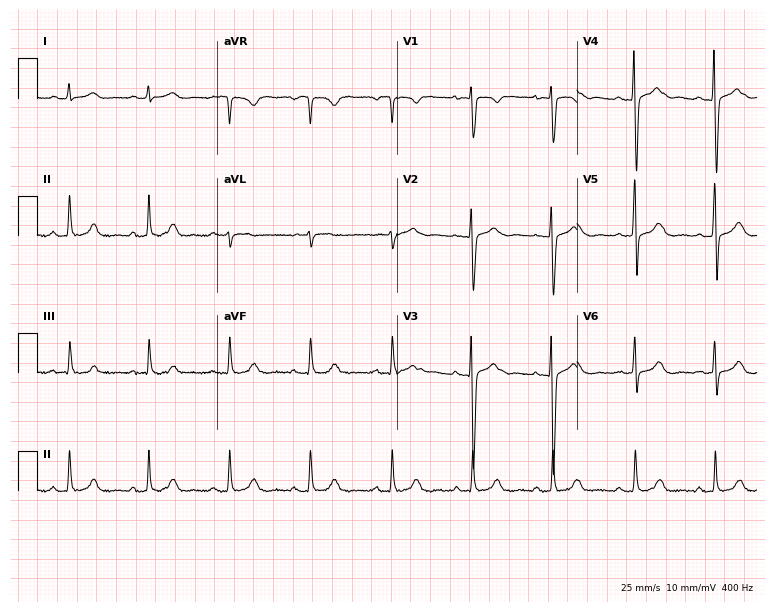
ECG (7.3-second recording at 400 Hz) — a 27-year-old female patient. Screened for six findings — first-degree AV block, right bundle branch block, left bundle branch block, sinus bradycardia, atrial fibrillation, sinus tachycardia — none is recorded. Findings outside these six are not listed.